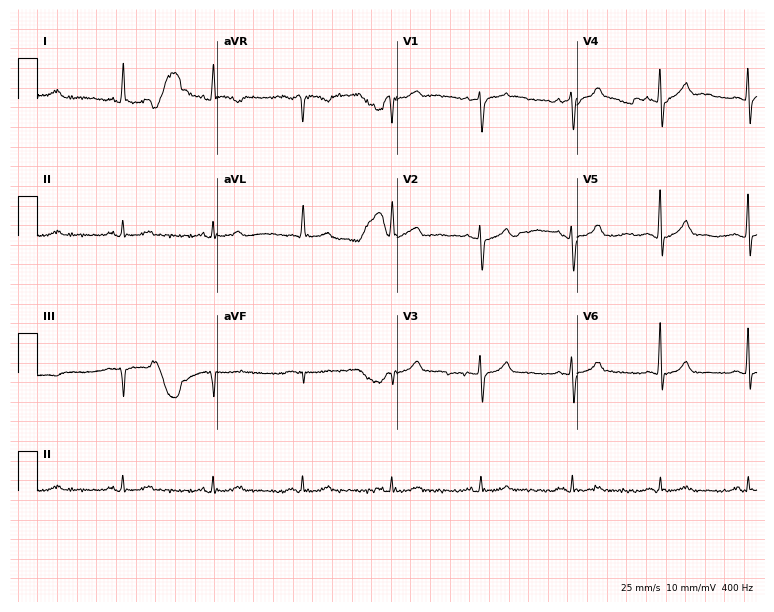
Standard 12-lead ECG recorded from a woman, 64 years old. Read as a normal ECG.